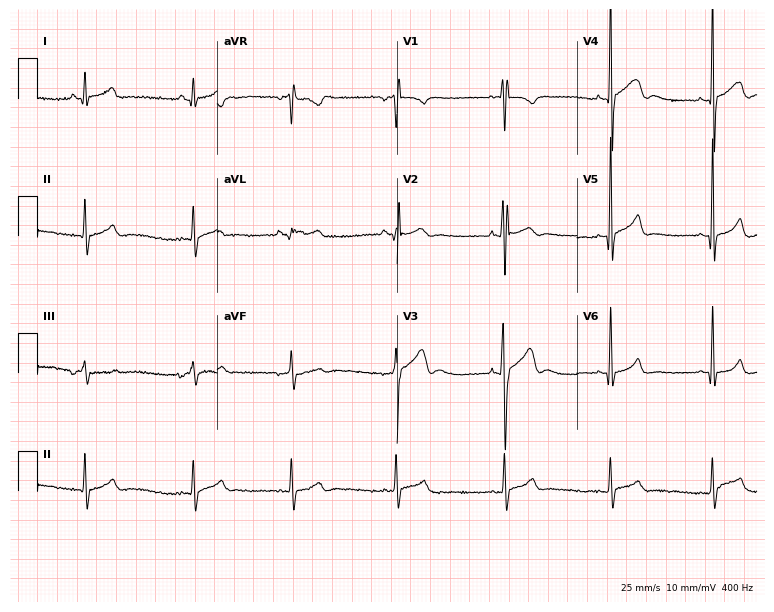
Standard 12-lead ECG recorded from a 20-year-old male (7.3-second recording at 400 Hz). None of these six findings is recorded: first-degree AV block, right bundle branch block, left bundle branch block, sinus bradycardia, atrial fibrillation, sinus tachycardia.